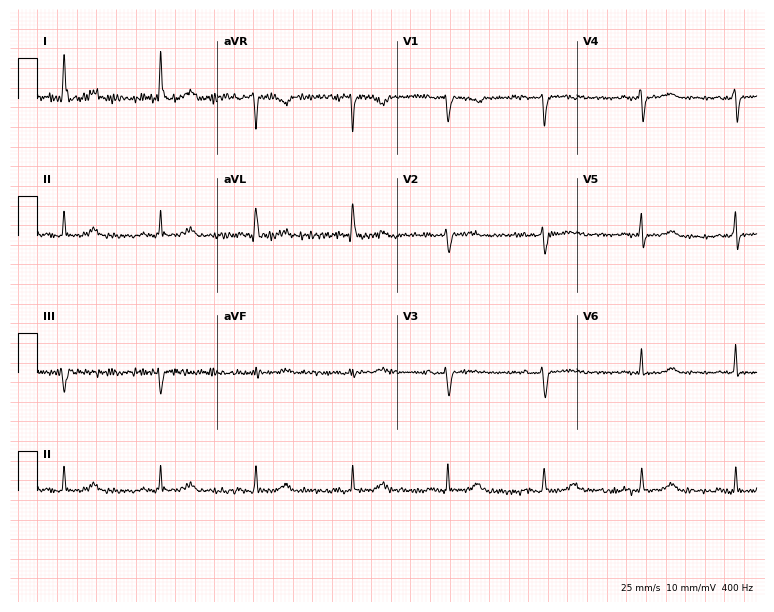
ECG — a female, 71 years old. Labelled as a normal ECG.